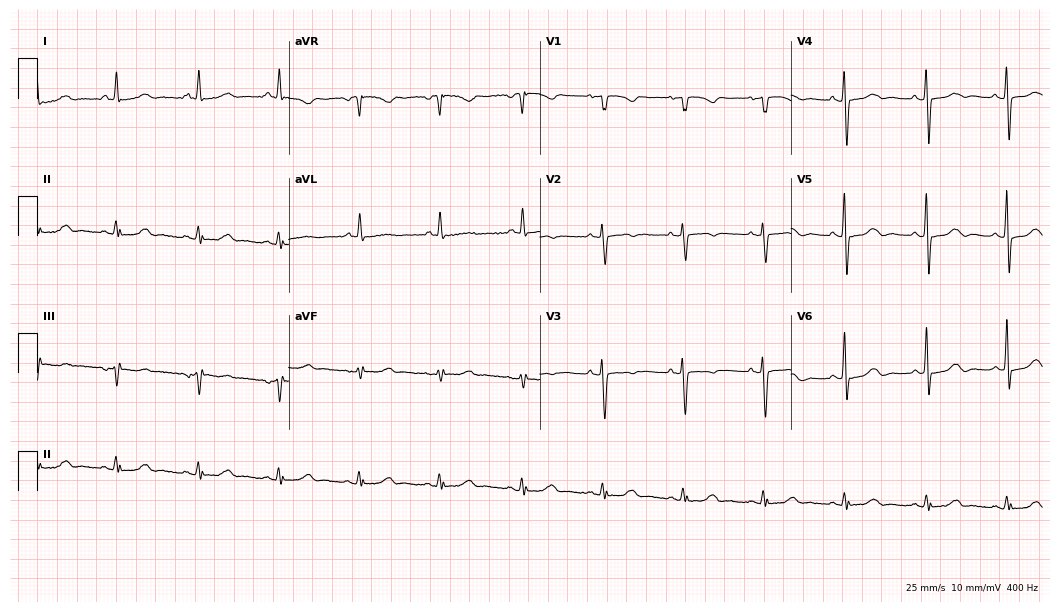
Electrocardiogram, a 78-year-old woman. Overall reading on record: normal ECG.